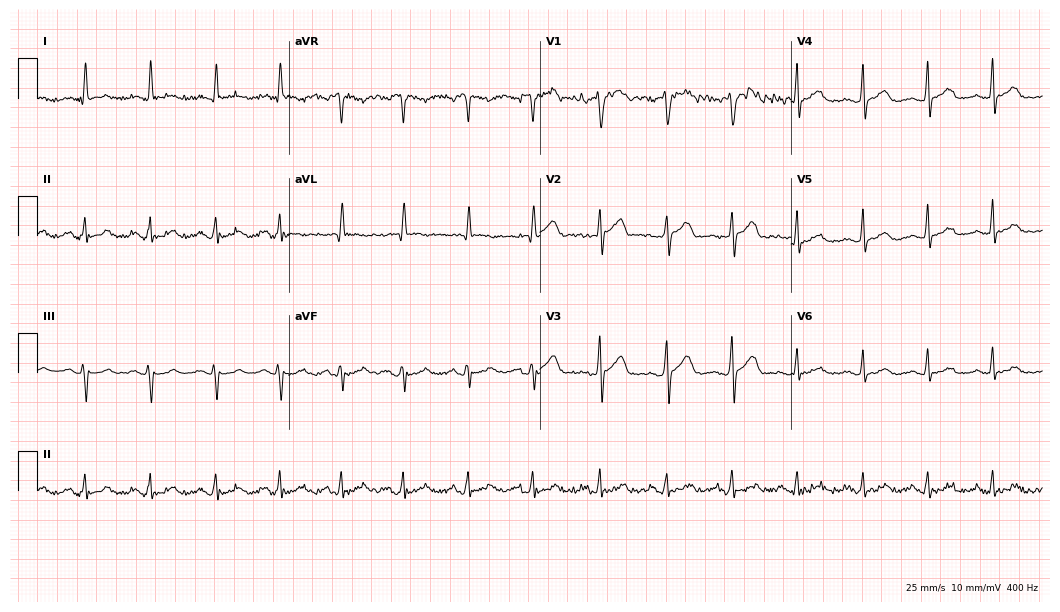
12-lead ECG (10.2-second recording at 400 Hz) from a man, 47 years old. Screened for six findings — first-degree AV block, right bundle branch block, left bundle branch block, sinus bradycardia, atrial fibrillation, sinus tachycardia — none is recorded.